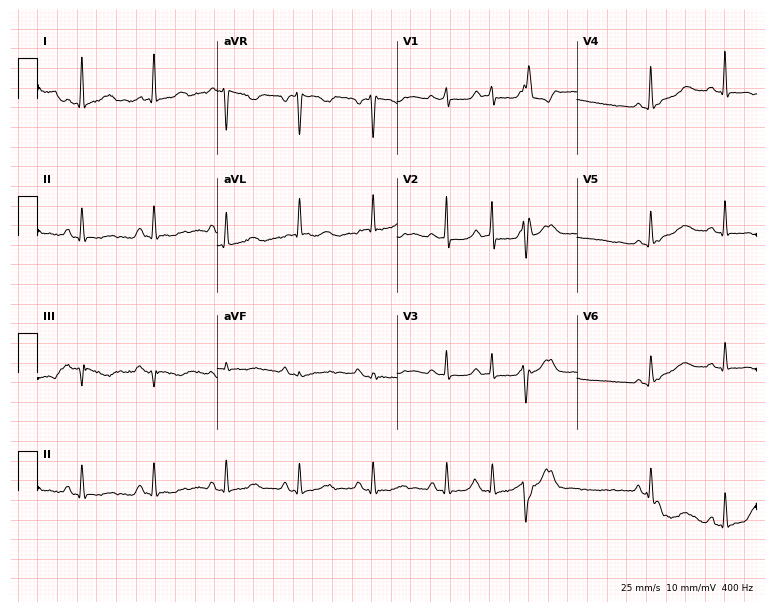
ECG — an 85-year-old woman. Screened for six findings — first-degree AV block, right bundle branch block (RBBB), left bundle branch block (LBBB), sinus bradycardia, atrial fibrillation (AF), sinus tachycardia — none is recorded.